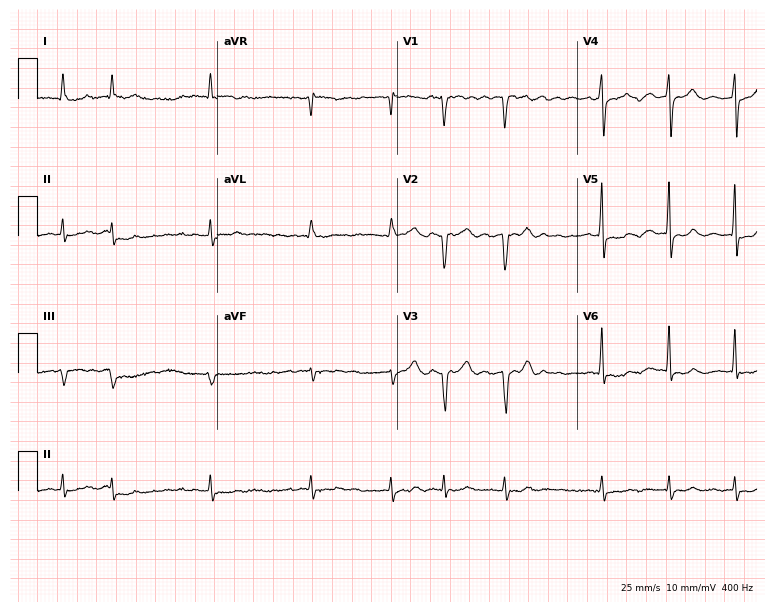
12-lead ECG from an 81-year-old male. Findings include atrial fibrillation (AF).